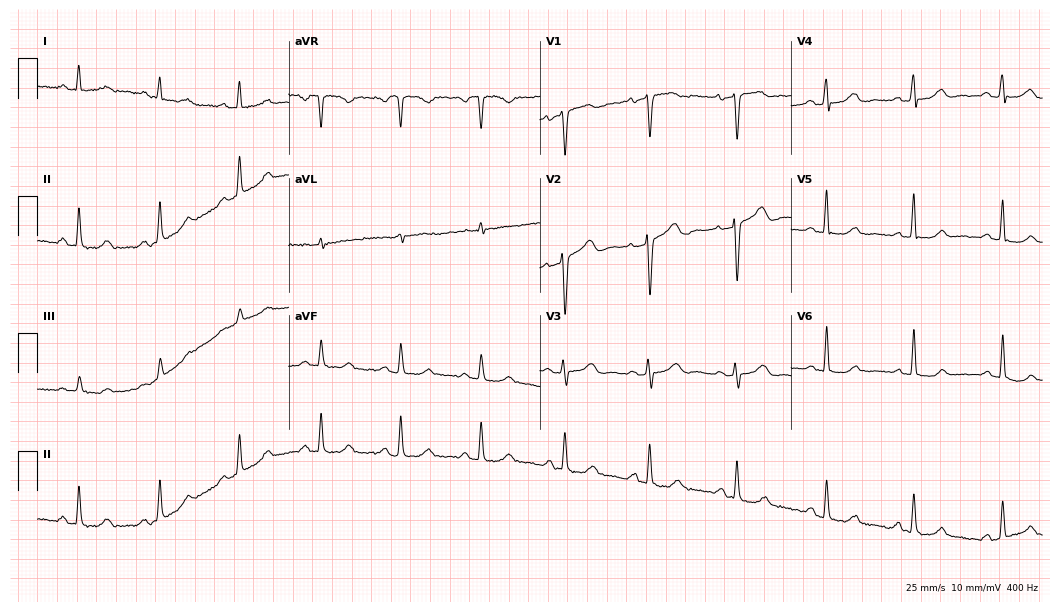
Resting 12-lead electrocardiogram (10.2-second recording at 400 Hz). Patient: a 51-year-old female. None of these six findings is recorded: first-degree AV block, right bundle branch block (RBBB), left bundle branch block (LBBB), sinus bradycardia, atrial fibrillation (AF), sinus tachycardia.